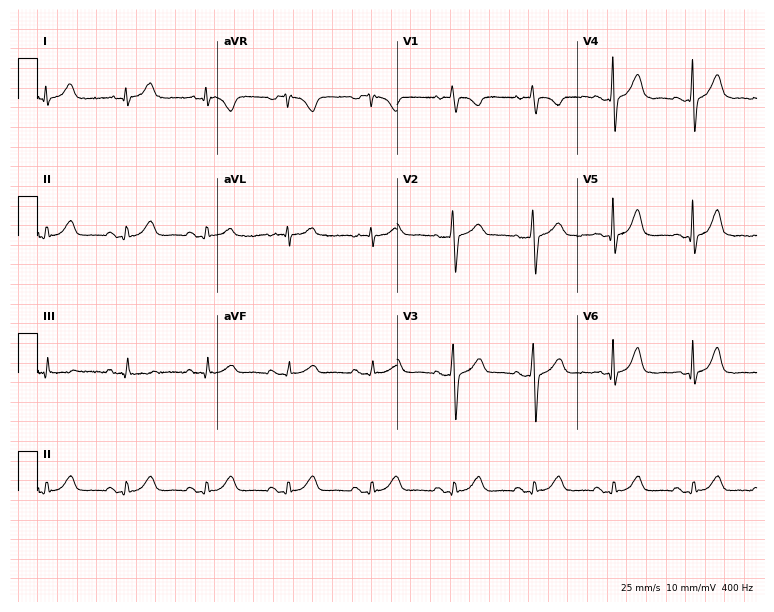
Electrocardiogram, a 39-year-old male patient. Overall reading on record: normal ECG.